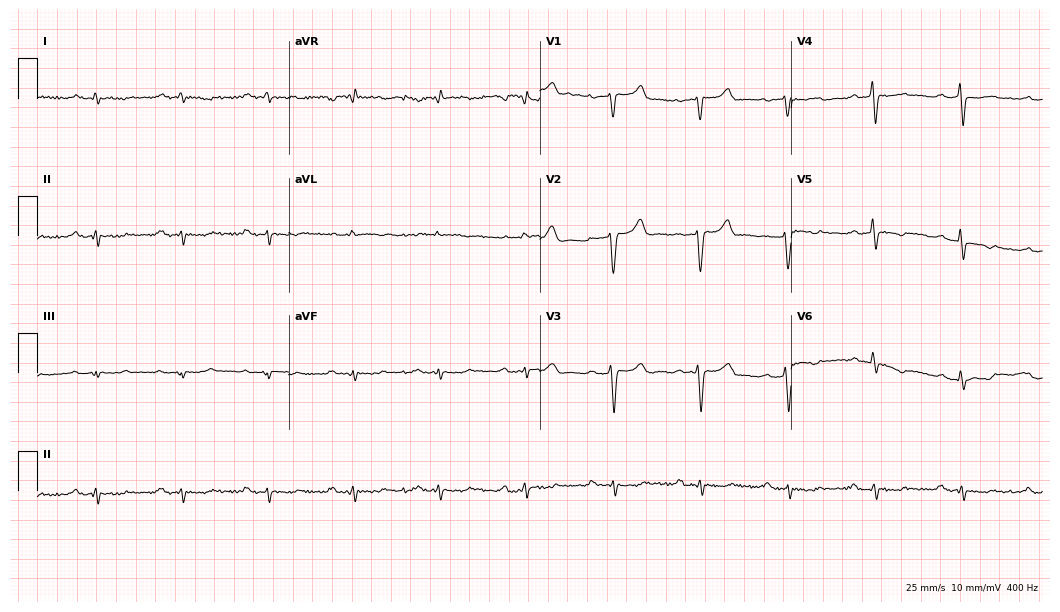
Resting 12-lead electrocardiogram. Patient: a male, 69 years old. None of these six findings is recorded: first-degree AV block, right bundle branch block, left bundle branch block, sinus bradycardia, atrial fibrillation, sinus tachycardia. Findings outside these six are not listed.